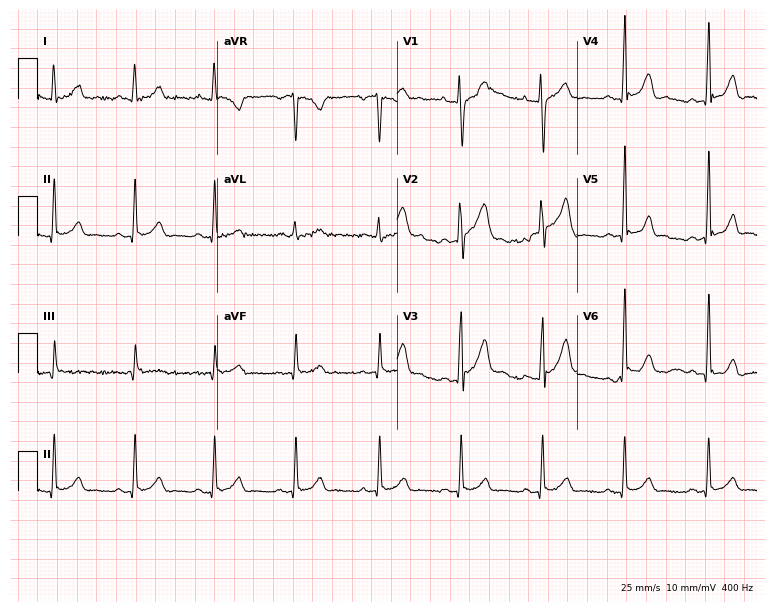
Resting 12-lead electrocardiogram (7.3-second recording at 400 Hz). Patient: a male, 23 years old. Read as a normal ECG.